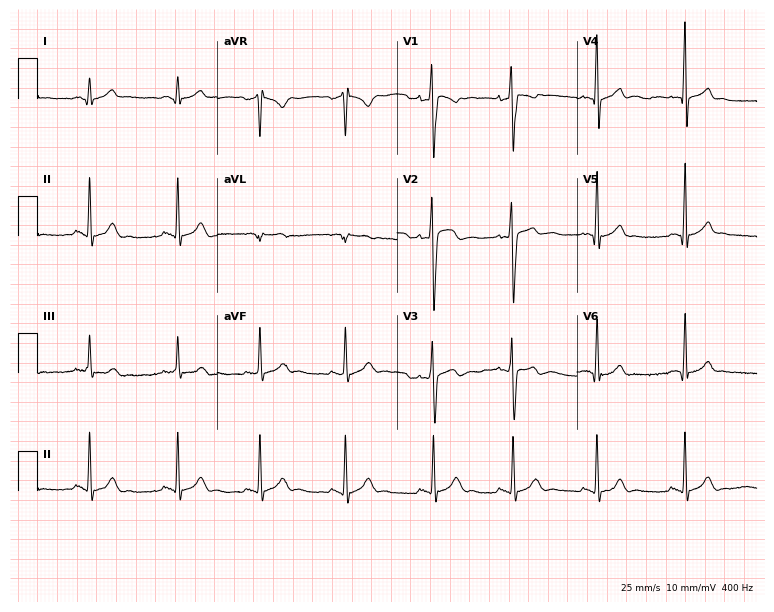
Resting 12-lead electrocardiogram. Patient: a man, 17 years old. Read as a normal ECG.